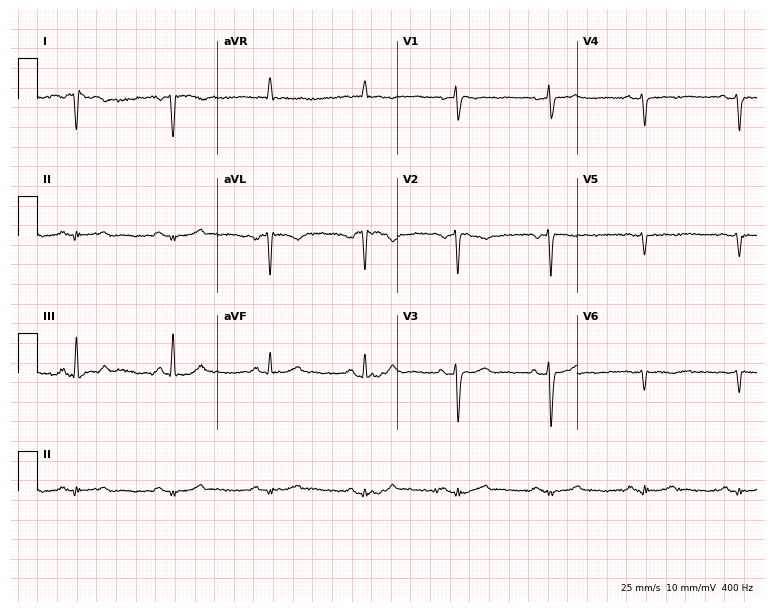
12-lead ECG from a male, 63 years old. No first-degree AV block, right bundle branch block, left bundle branch block, sinus bradycardia, atrial fibrillation or sinus tachycardia recorded for this tracing.